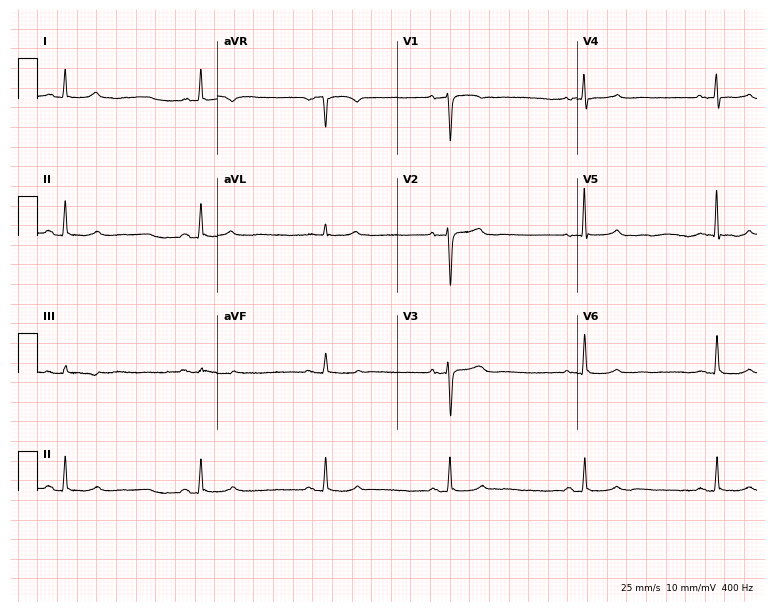
Standard 12-lead ECG recorded from a 75-year-old female patient (7.3-second recording at 400 Hz). The tracing shows sinus bradycardia (a sinus rate of 50 beats per minute or less).